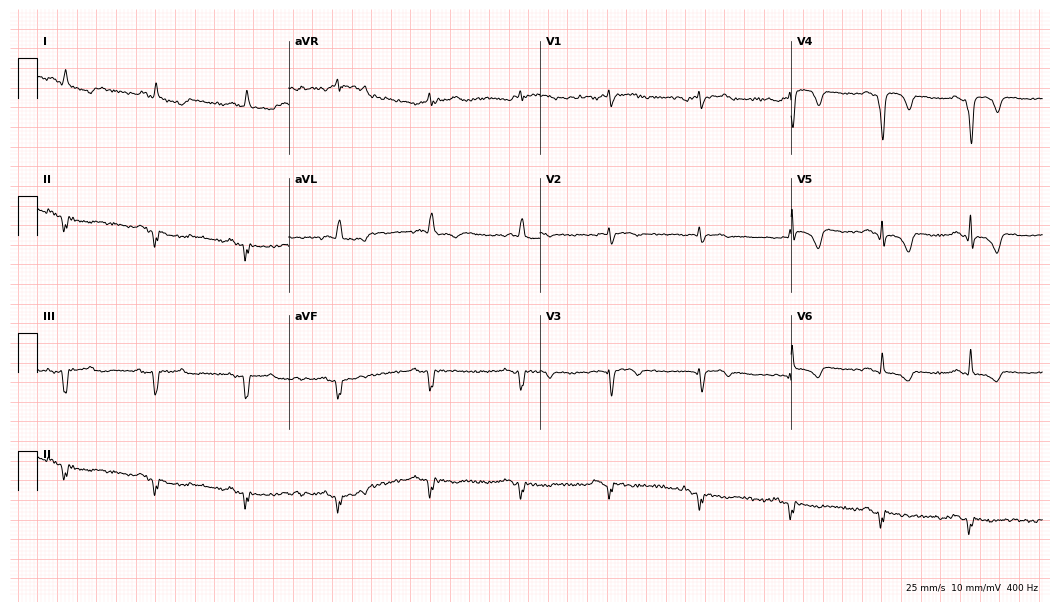
Electrocardiogram (10.2-second recording at 400 Hz), a 63-year-old male patient. Of the six screened findings (first-degree AV block, right bundle branch block, left bundle branch block, sinus bradycardia, atrial fibrillation, sinus tachycardia), none is recorded.